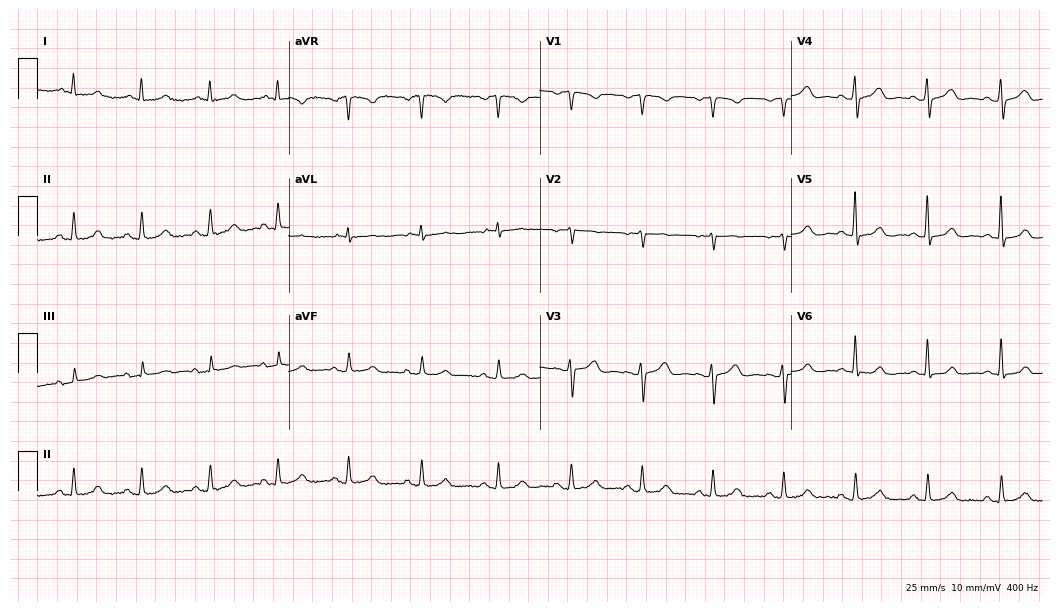
12-lead ECG (10.2-second recording at 400 Hz) from a woman, 48 years old. Screened for six findings — first-degree AV block, right bundle branch block, left bundle branch block, sinus bradycardia, atrial fibrillation, sinus tachycardia — none is recorded. Only these six findings were labelled.